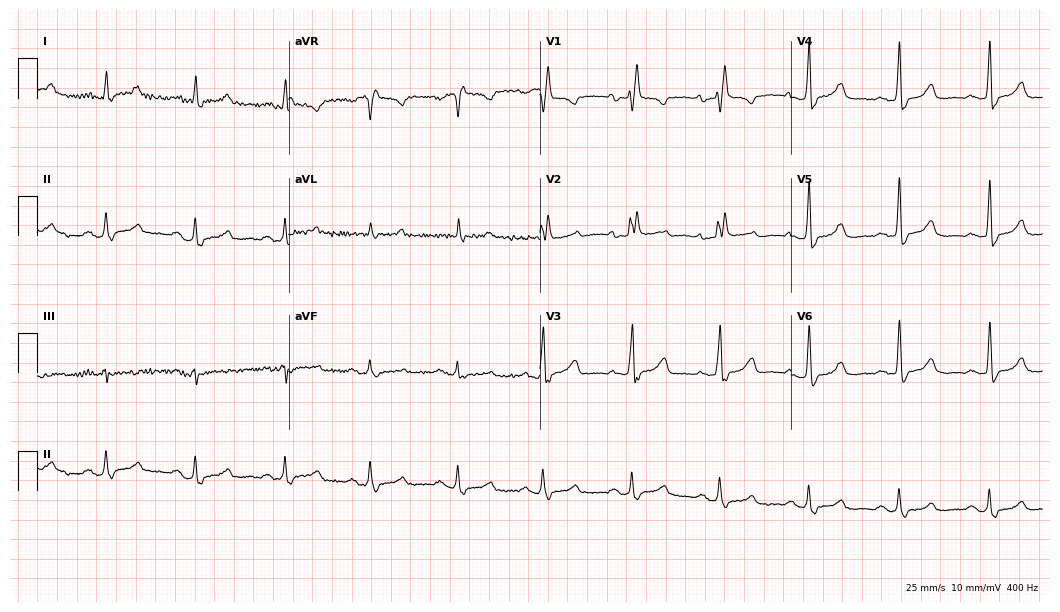
Resting 12-lead electrocardiogram (10.2-second recording at 400 Hz). Patient: a 72-year-old female. None of these six findings is recorded: first-degree AV block, right bundle branch block (RBBB), left bundle branch block (LBBB), sinus bradycardia, atrial fibrillation (AF), sinus tachycardia.